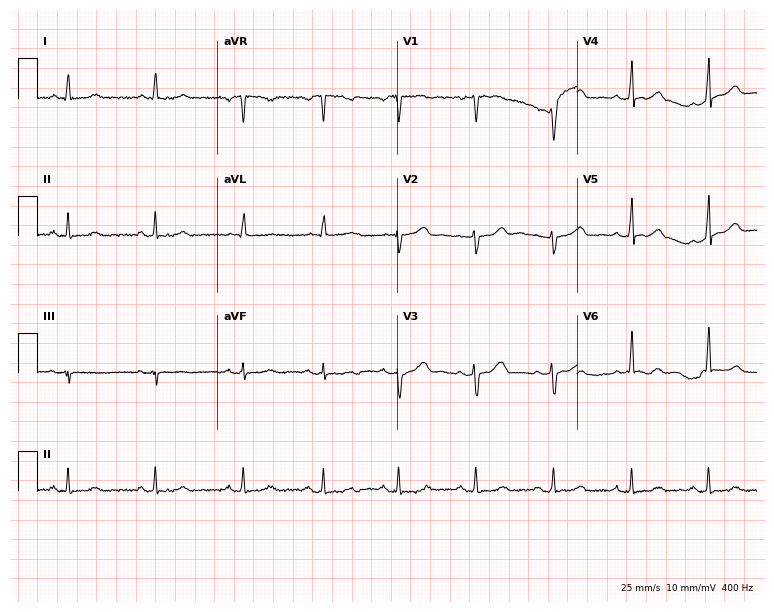
12-lead ECG from a 54-year-old female patient. Recorded interpretation: within normal limits.